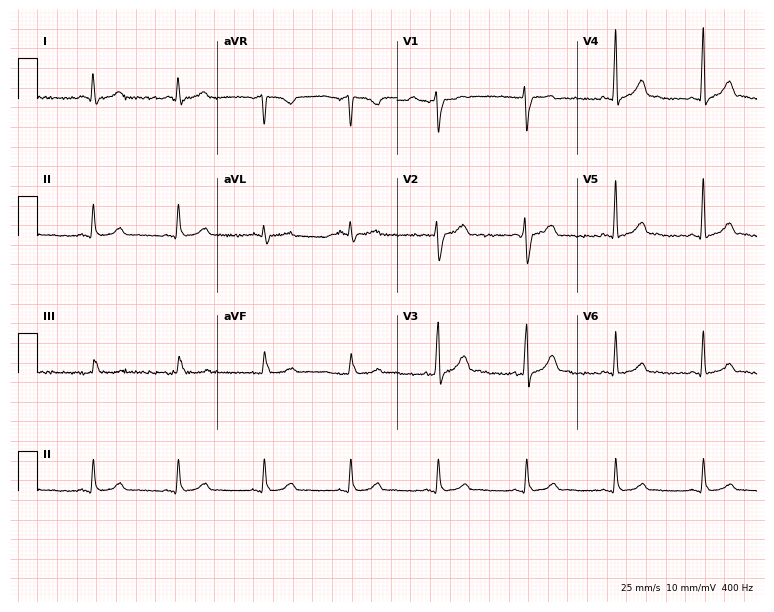
Resting 12-lead electrocardiogram. Patient: a male, 48 years old. Read as a normal ECG.